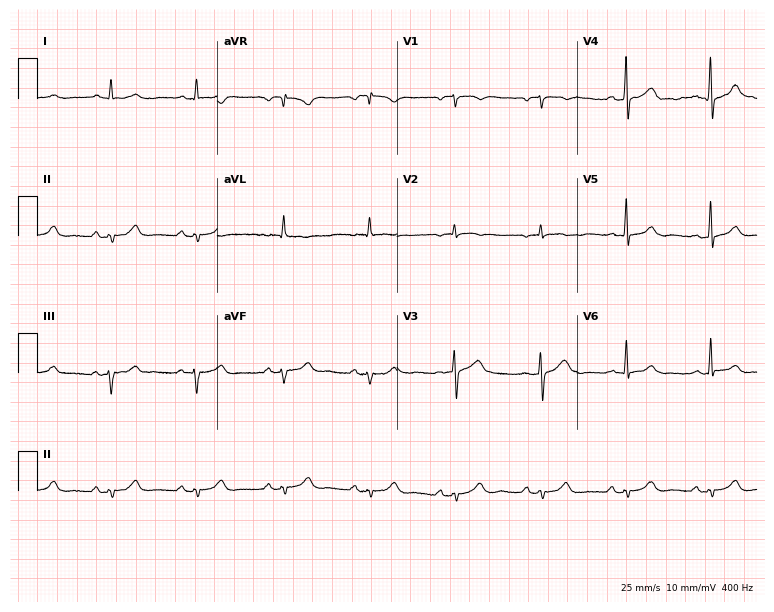
Resting 12-lead electrocardiogram (7.3-second recording at 400 Hz). Patient: a man, 49 years old. None of these six findings is recorded: first-degree AV block, right bundle branch block, left bundle branch block, sinus bradycardia, atrial fibrillation, sinus tachycardia. Findings outside these six are not listed.